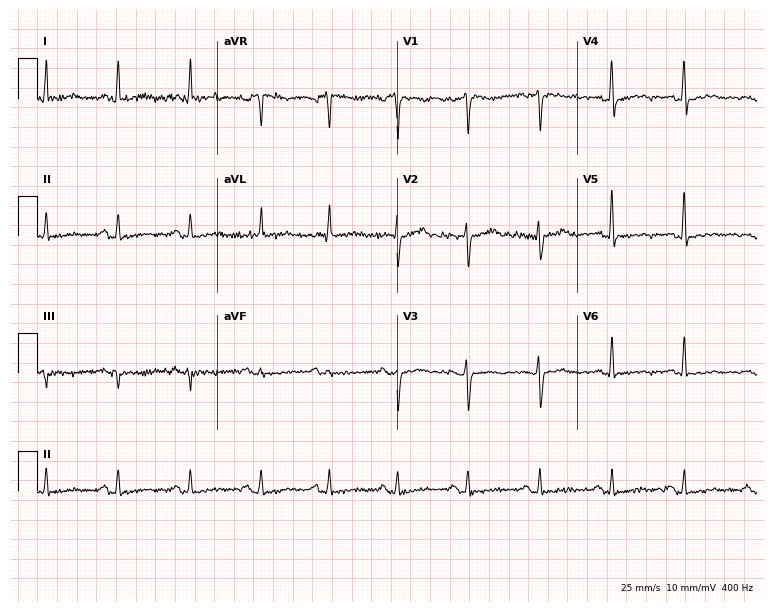
12-lead ECG from a 49-year-old female patient. Screened for six findings — first-degree AV block, right bundle branch block, left bundle branch block, sinus bradycardia, atrial fibrillation, sinus tachycardia — none is recorded.